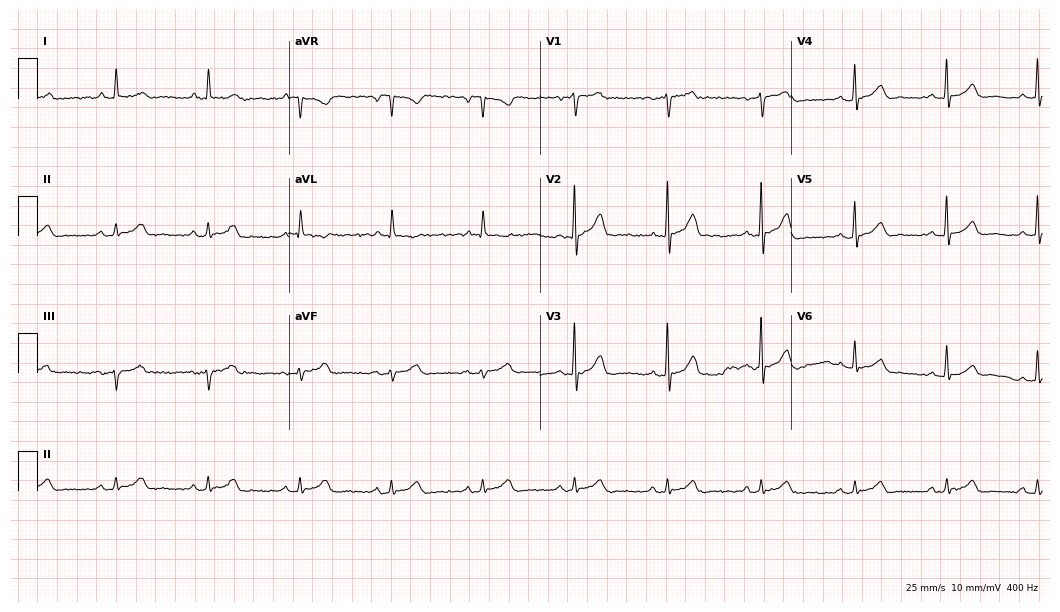
ECG — a male, 74 years old. Labelled as a normal ECG.